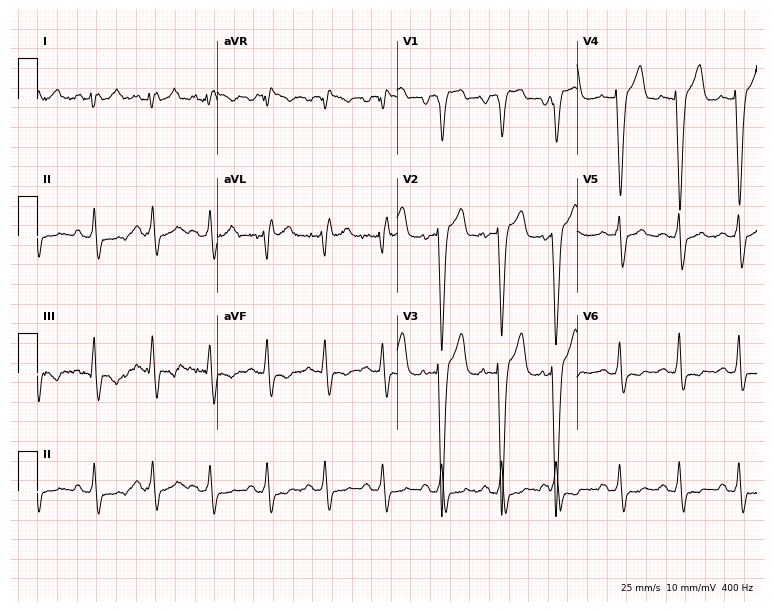
ECG (7.3-second recording at 400 Hz) — a 72-year-old man. Screened for six findings — first-degree AV block, right bundle branch block, left bundle branch block, sinus bradycardia, atrial fibrillation, sinus tachycardia — none is recorded.